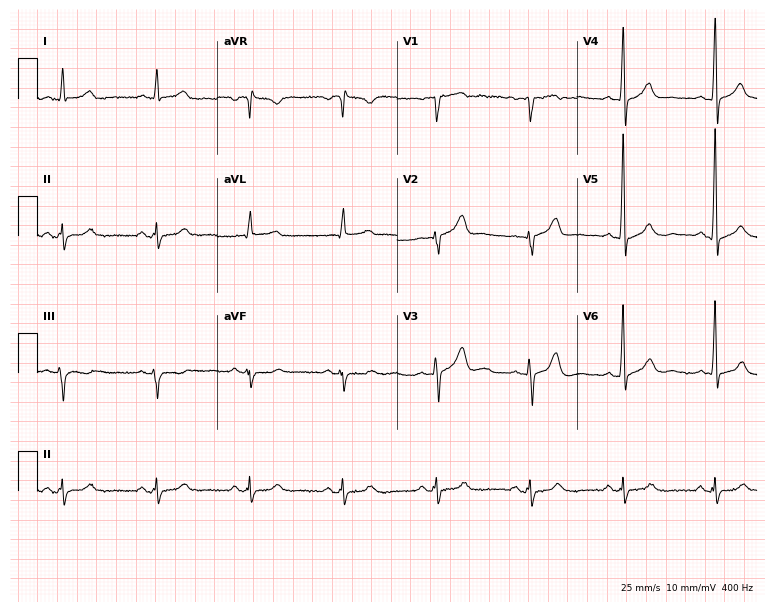
Resting 12-lead electrocardiogram (7.3-second recording at 400 Hz). Patient: a man, 61 years old. None of these six findings is recorded: first-degree AV block, right bundle branch block, left bundle branch block, sinus bradycardia, atrial fibrillation, sinus tachycardia. Findings outside these six are not listed.